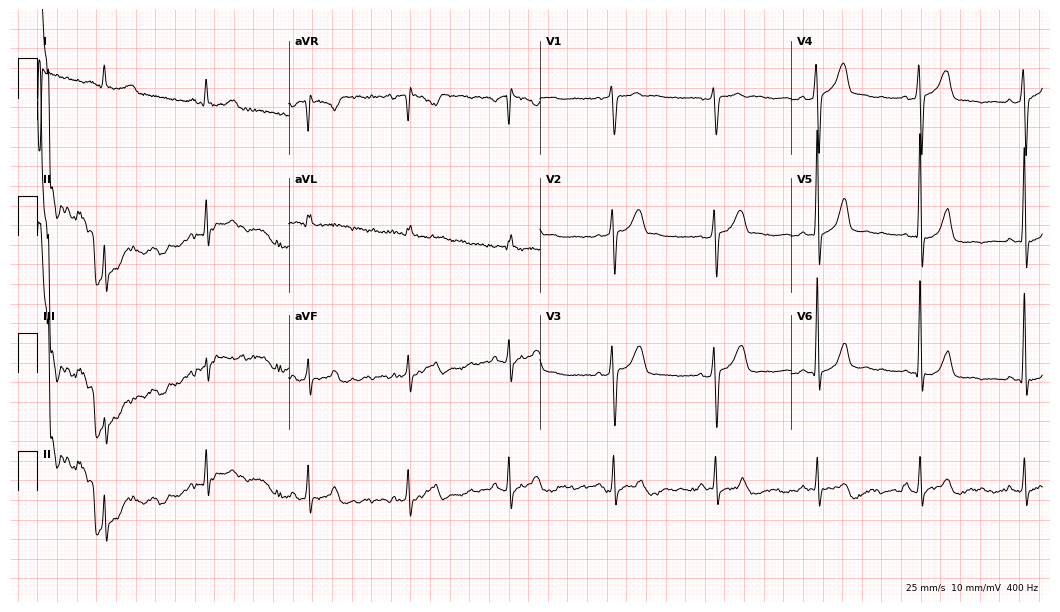
12-lead ECG (10.2-second recording at 400 Hz) from a male patient, 85 years old. Labelled as a normal ECG.